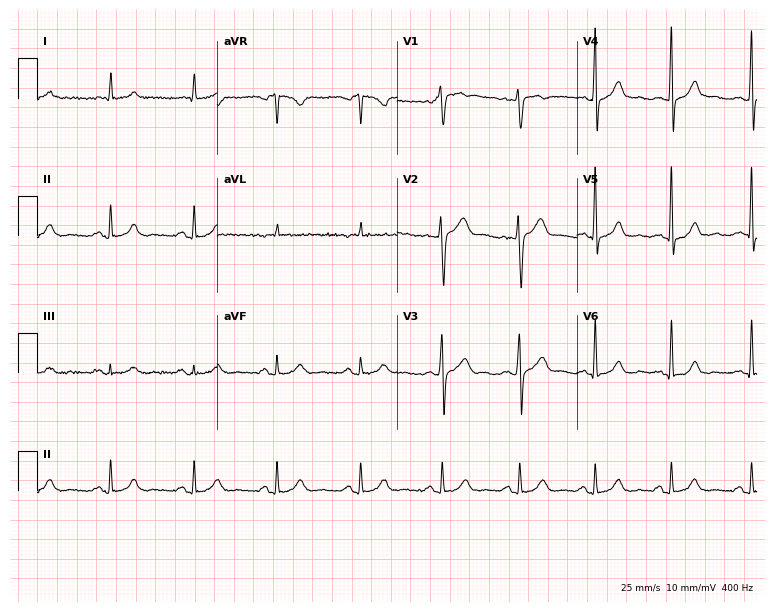
Resting 12-lead electrocardiogram. Patient: a 37-year-old male. Read as a normal ECG.